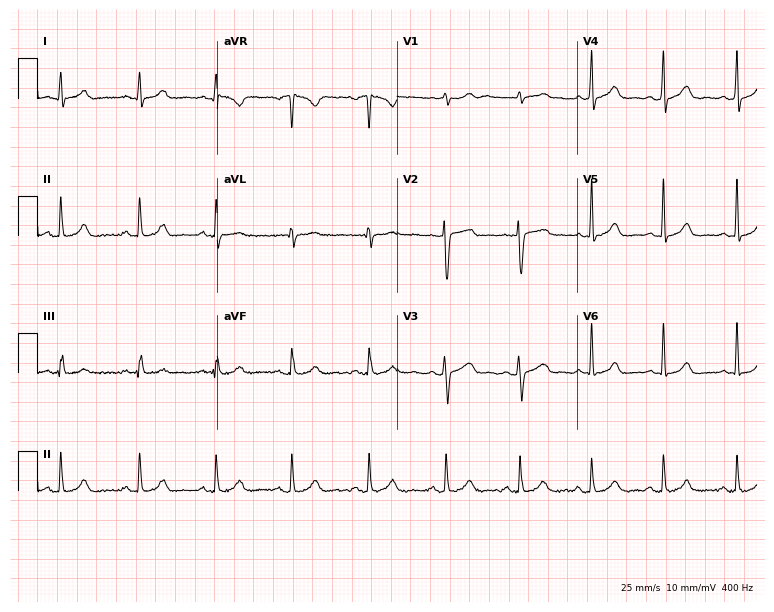
Electrocardiogram, a 26-year-old female. Overall reading on record: normal ECG.